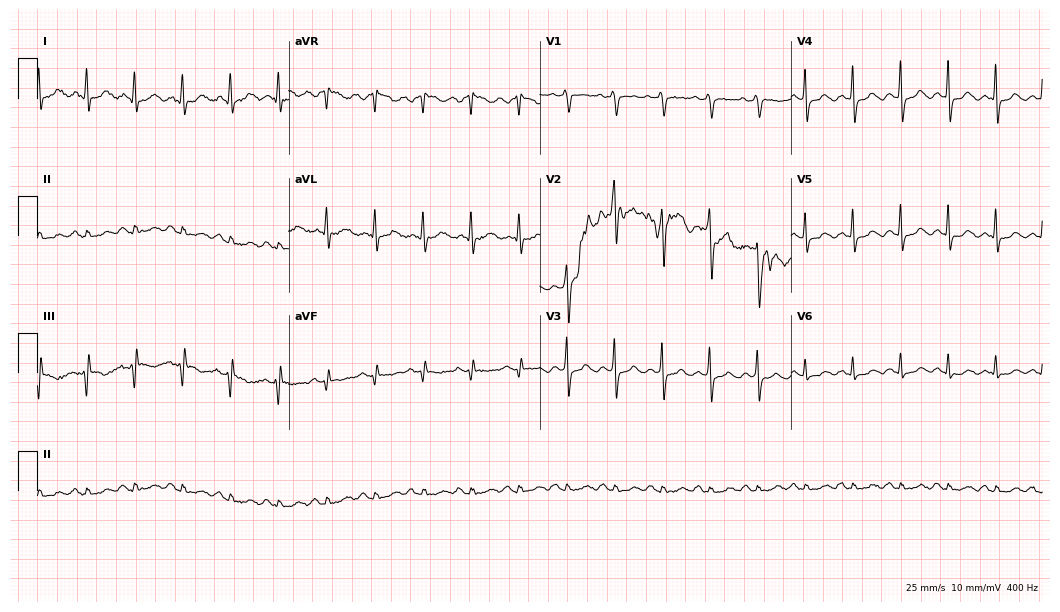
ECG — a female patient, 61 years old. Findings include sinus tachycardia (a sinus rate of 100 beats per minute or more).